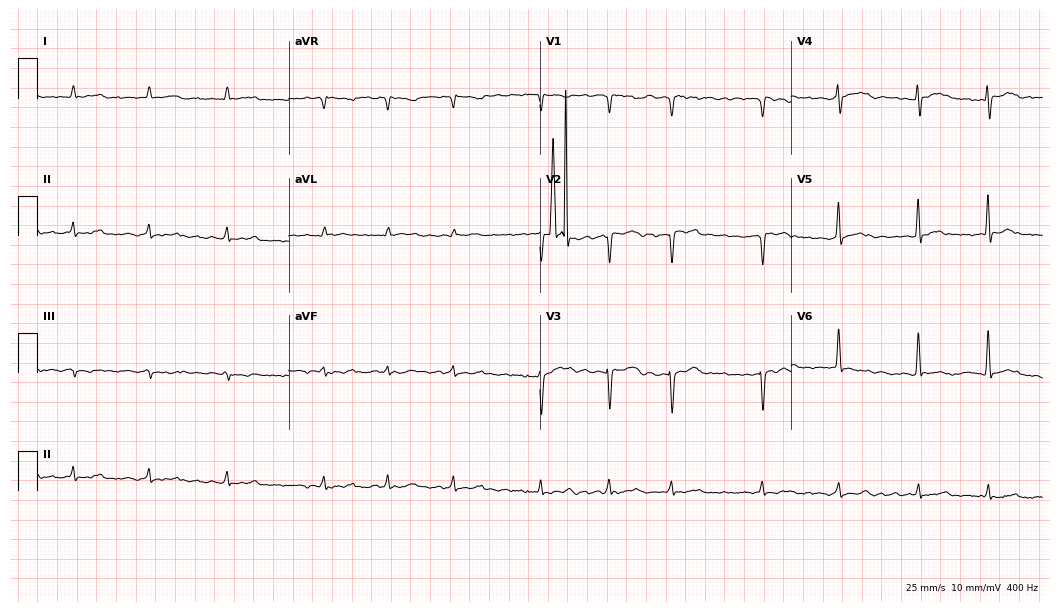
ECG (10.2-second recording at 400 Hz) — a female patient, 68 years old. Findings include atrial fibrillation (AF).